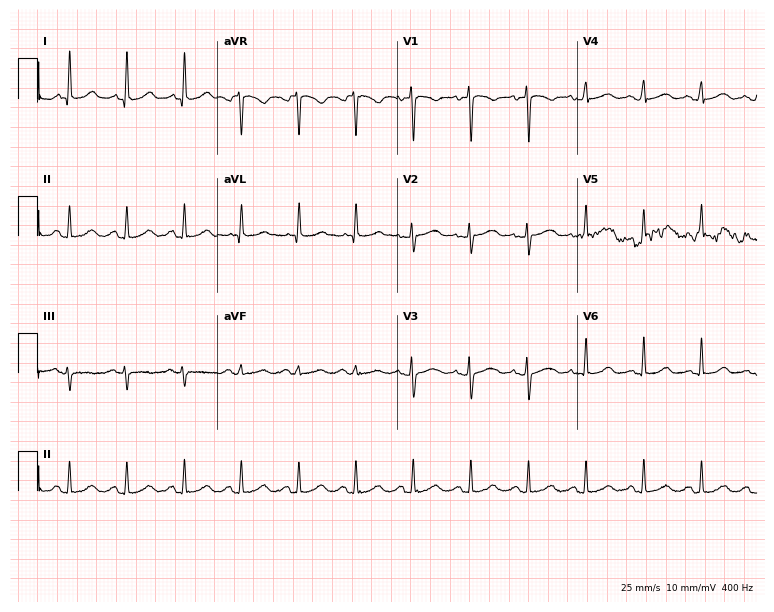
Resting 12-lead electrocardiogram. Patient: a female, 53 years old. The tracing shows sinus tachycardia (a sinus rate of 100 beats per minute or more).